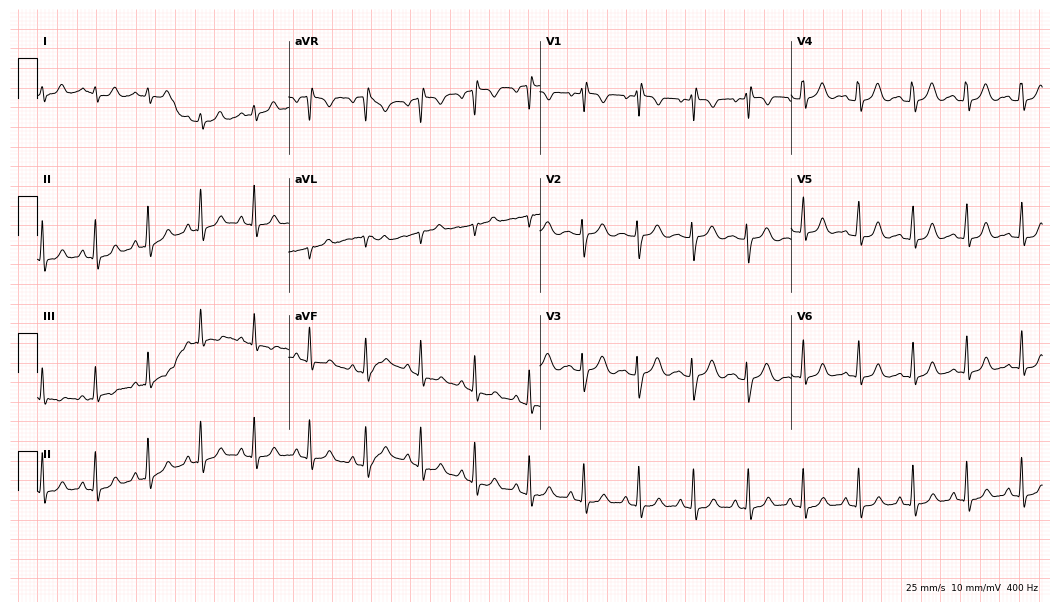
ECG — an 18-year-old woman. Screened for six findings — first-degree AV block, right bundle branch block, left bundle branch block, sinus bradycardia, atrial fibrillation, sinus tachycardia — none is recorded. Findings outside these six are not listed.